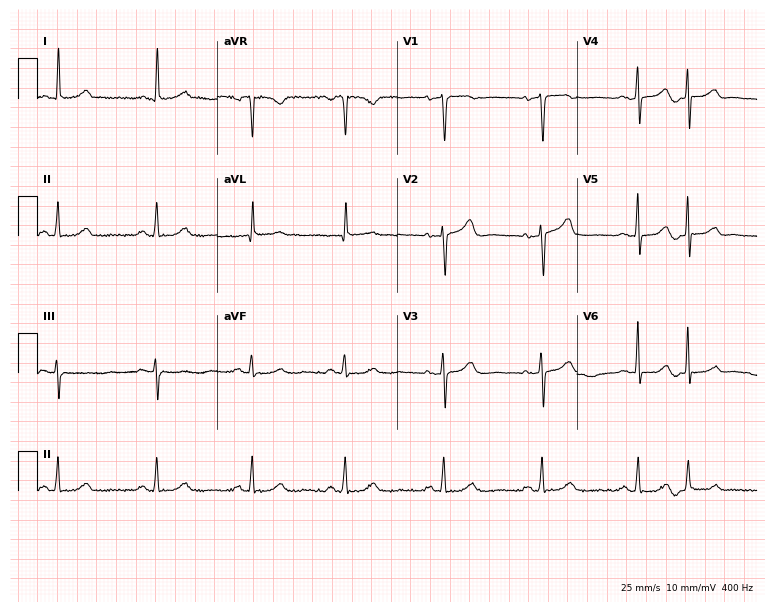
12-lead ECG (7.3-second recording at 400 Hz) from a female patient, 62 years old. Labelled as a normal ECG.